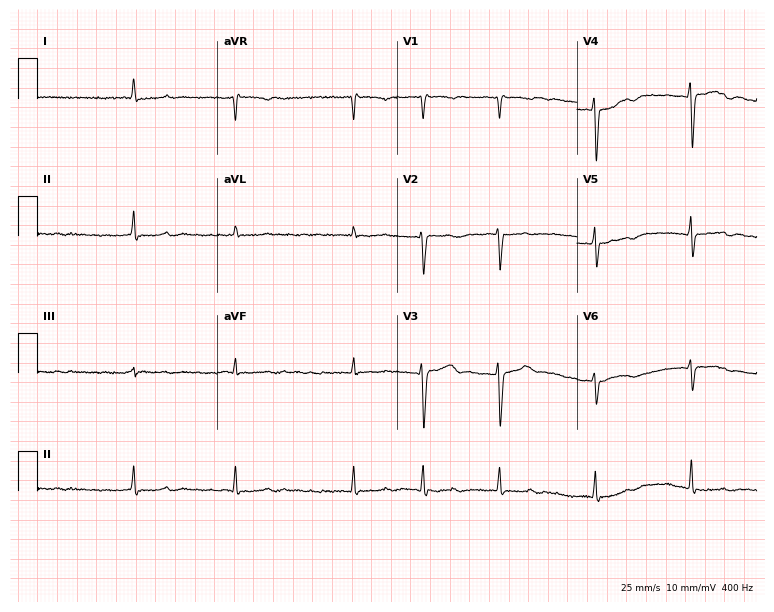
Electrocardiogram, a female, 78 years old. Interpretation includes atrial fibrillation.